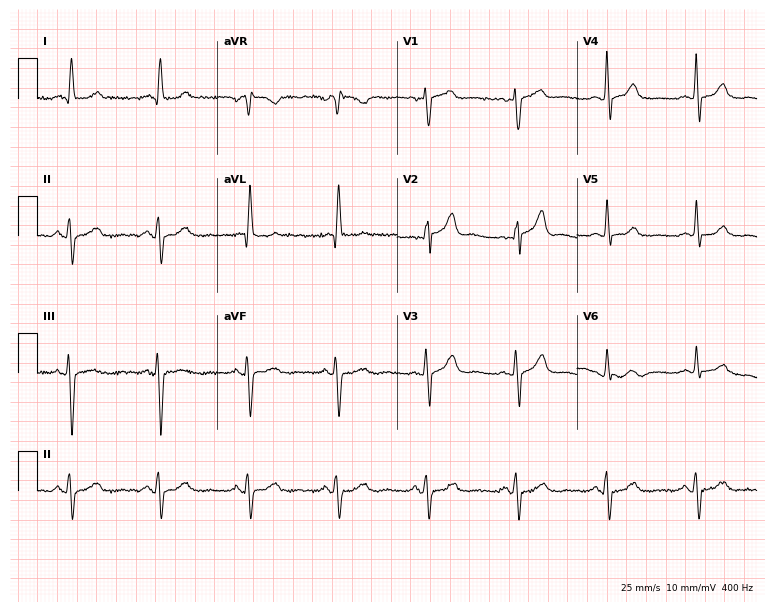
ECG — a 70-year-old woman. Screened for six findings — first-degree AV block, right bundle branch block (RBBB), left bundle branch block (LBBB), sinus bradycardia, atrial fibrillation (AF), sinus tachycardia — none is recorded.